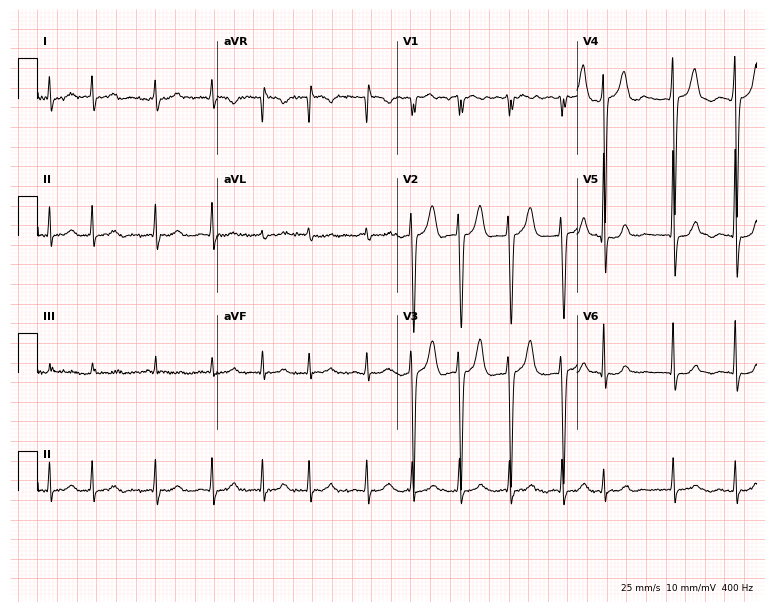
12-lead ECG from a 76-year-old male patient (7.3-second recording at 400 Hz). Shows atrial fibrillation.